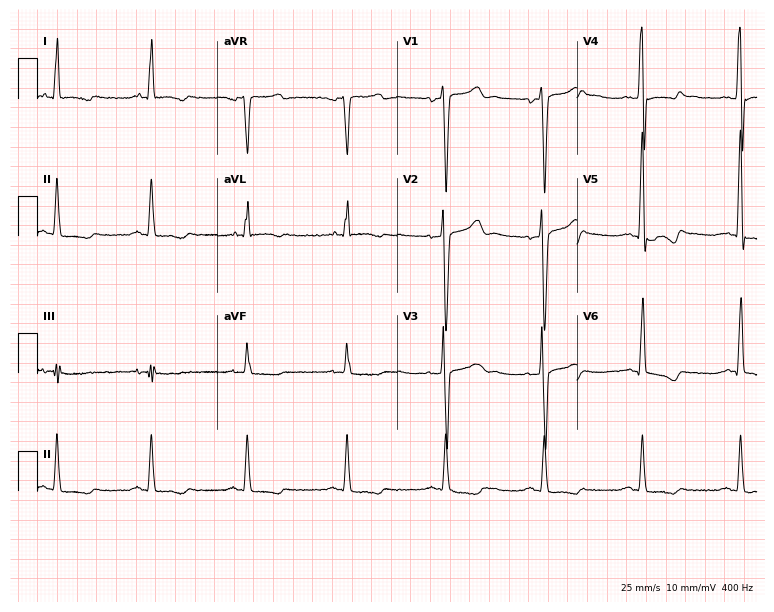
Resting 12-lead electrocardiogram. Patient: a 51-year-old male. None of these six findings is recorded: first-degree AV block, right bundle branch block, left bundle branch block, sinus bradycardia, atrial fibrillation, sinus tachycardia.